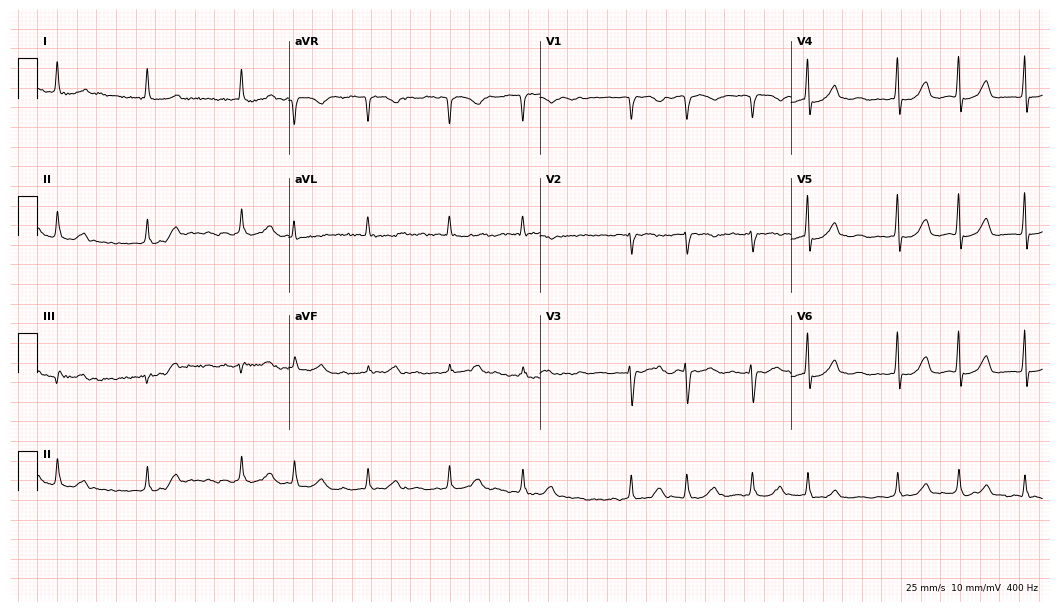
12-lead ECG from an 84-year-old female patient. Shows atrial fibrillation.